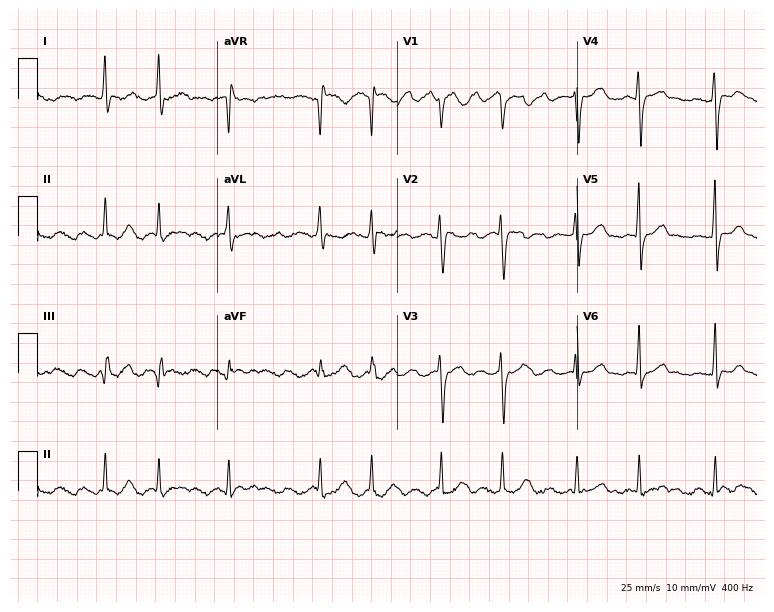
12-lead ECG from a woman, 74 years old (7.3-second recording at 400 Hz). Shows atrial fibrillation.